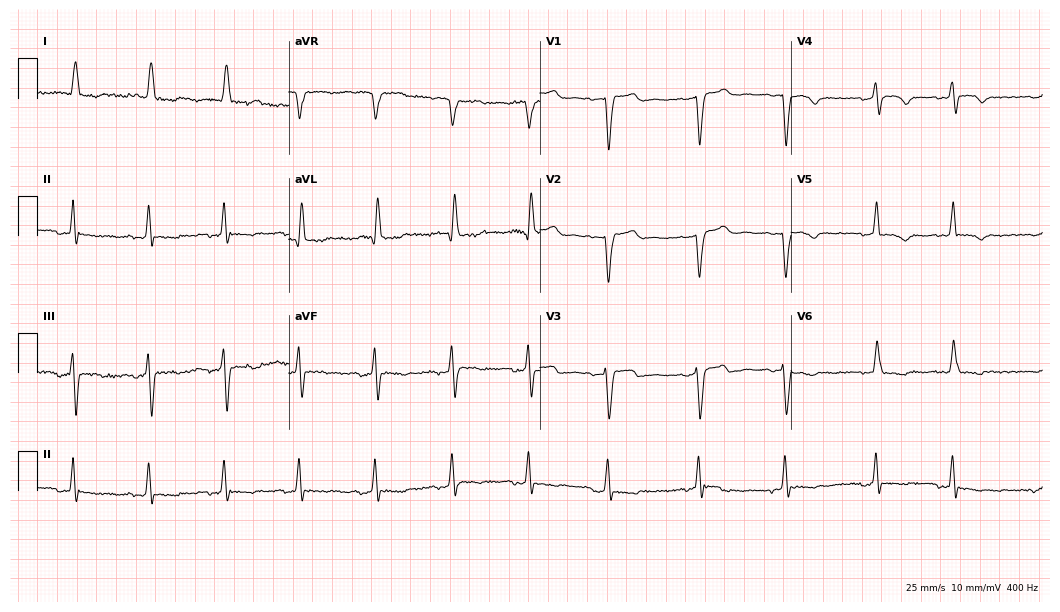
12-lead ECG from a 73-year-old female. No first-degree AV block, right bundle branch block, left bundle branch block, sinus bradycardia, atrial fibrillation or sinus tachycardia recorded for this tracing. Findings outside these six are not listed.